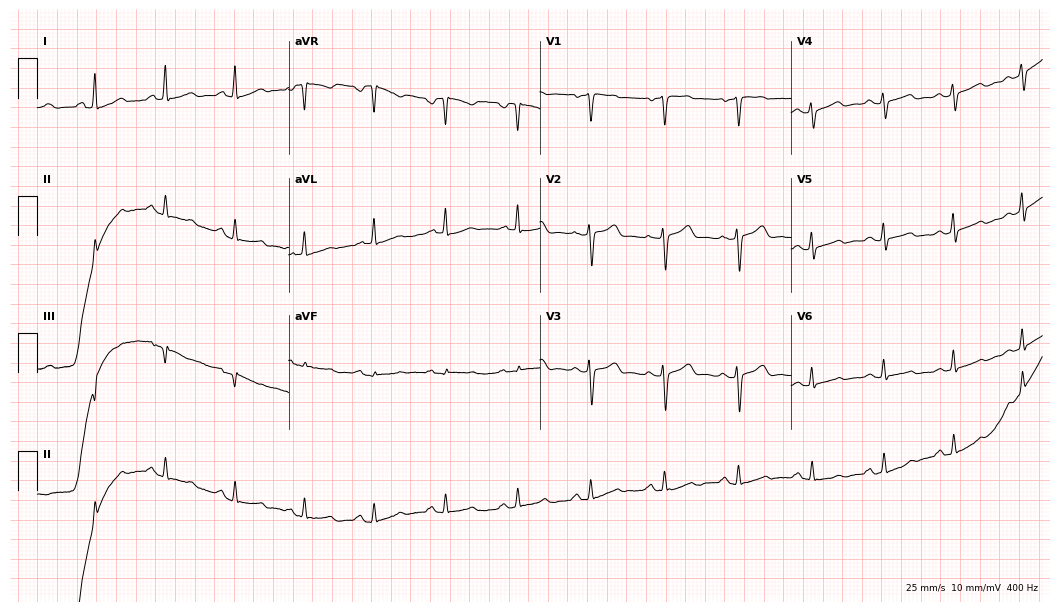
Standard 12-lead ECG recorded from a female, 46 years old (10.2-second recording at 400 Hz). Read as a normal ECG.